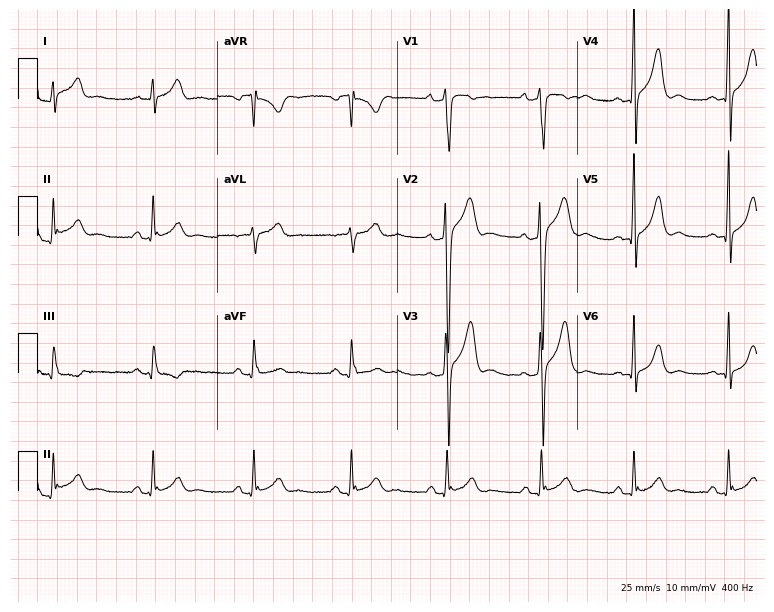
Resting 12-lead electrocardiogram. Patient: a 35-year-old male. None of these six findings is recorded: first-degree AV block, right bundle branch block (RBBB), left bundle branch block (LBBB), sinus bradycardia, atrial fibrillation (AF), sinus tachycardia.